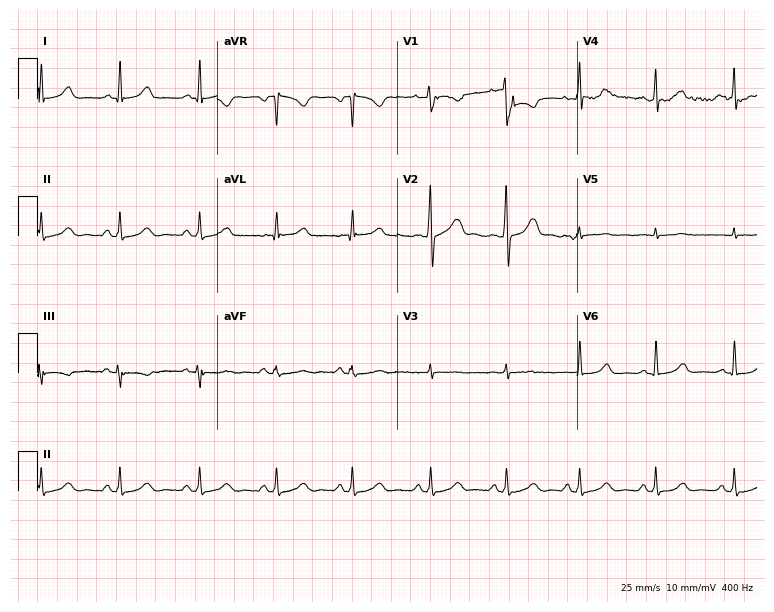
Electrocardiogram, a 37-year-old female. Overall reading on record: normal ECG.